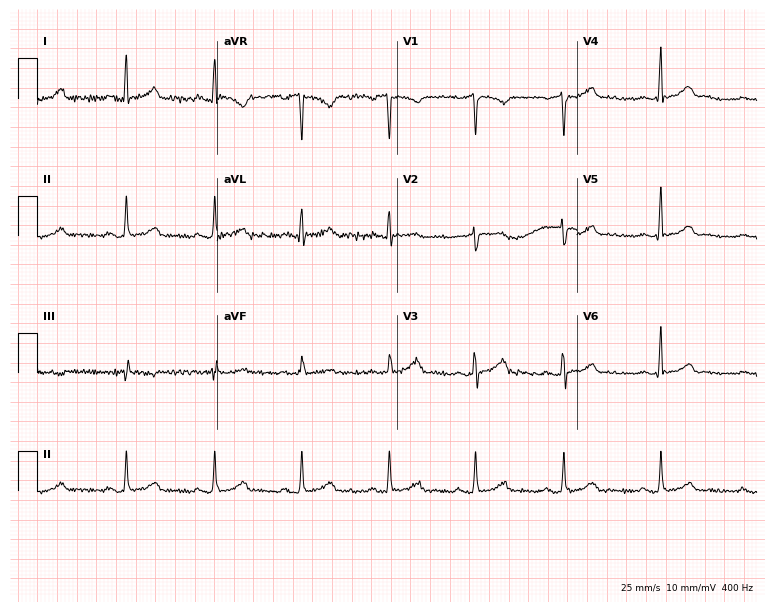
12-lead ECG from a 37-year-old female patient (7.3-second recording at 400 Hz). No first-degree AV block, right bundle branch block, left bundle branch block, sinus bradycardia, atrial fibrillation or sinus tachycardia recorded for this tracing.